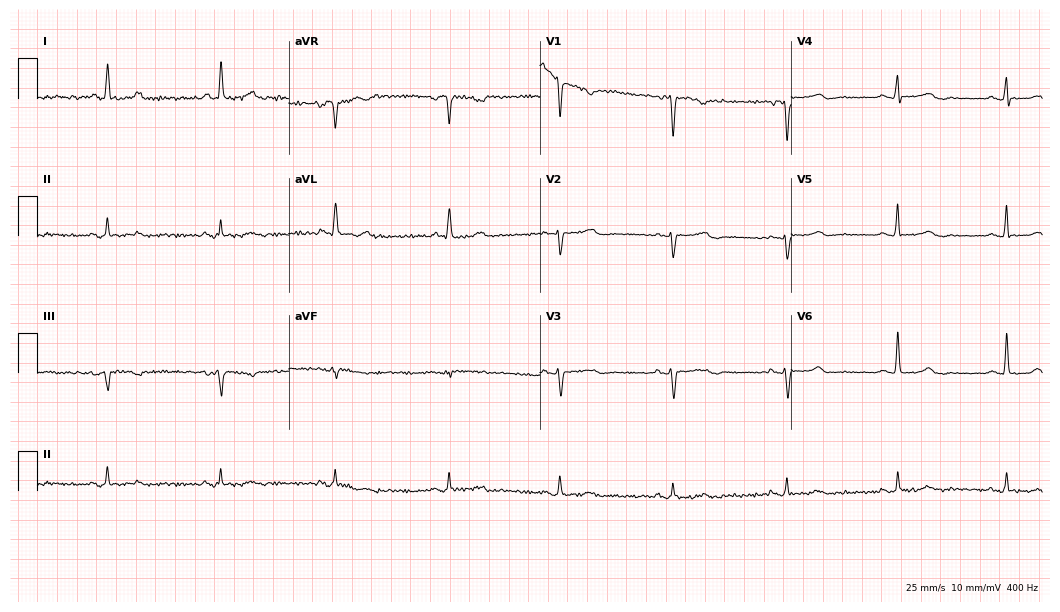
12-lead ECG from a female patient, 55 years old. Recorded interpretation: within normal limits.